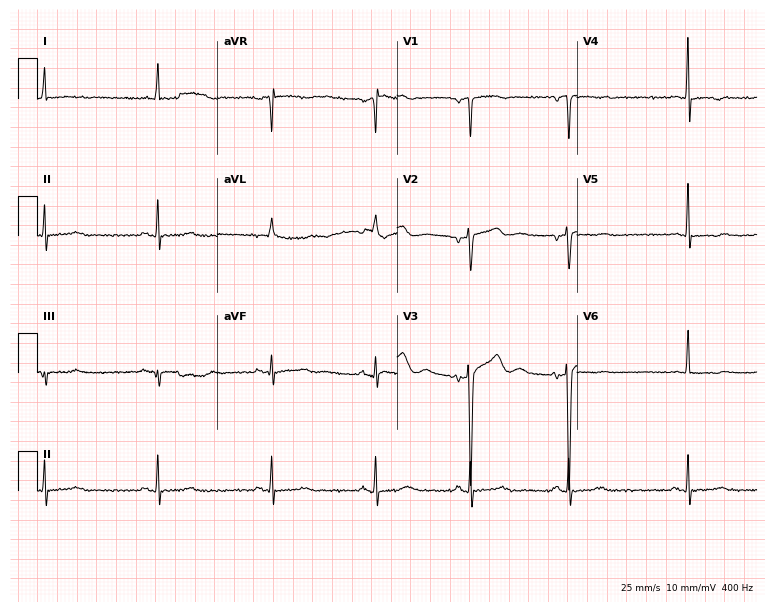
Resting 12-lead electrocardiogram (7.3-second recording at 400 Hz). Patient: a 38-year-old woman. None of these six findings is recorded: first-degree AV block, right bundle branch block (RBBB), left bundle branch block (LBBB), sinus bradycardia, atrial fibrillation (AF), sinus tachycardia.